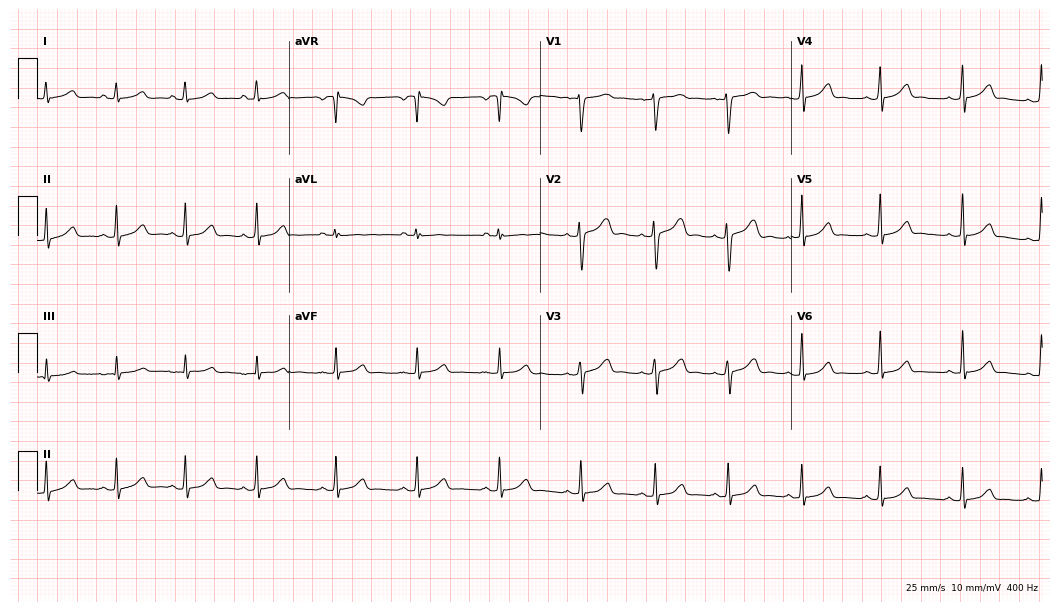
Resting 12-lead electrocardiogram. Patient: a female, 24 years old. Read as a normal ECG.